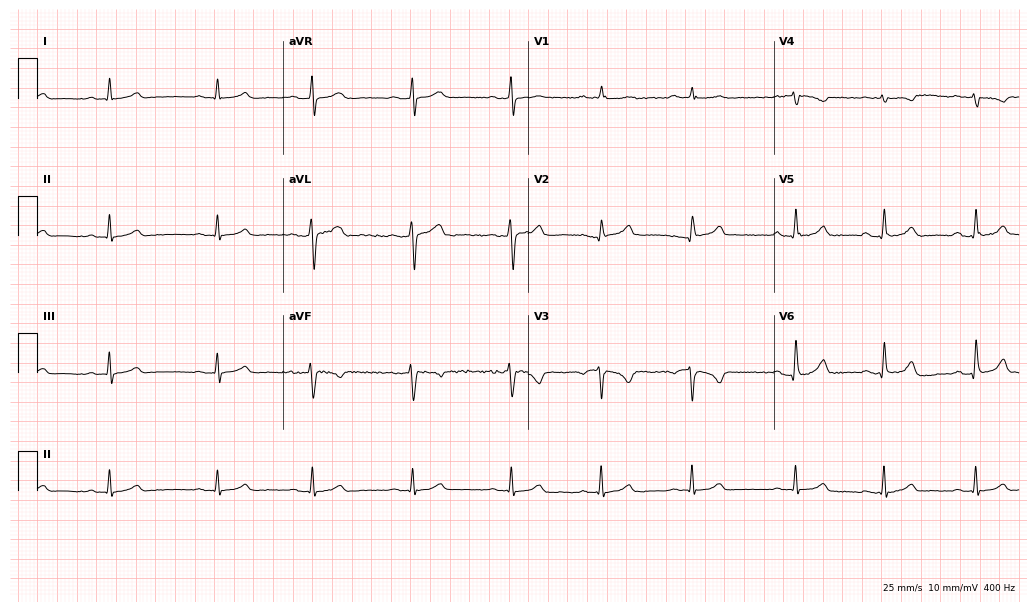
ECG (10-second recording at 400 Hz) — a 35-year-old female. Screened for six findings — first-degree AV block, right bundle branch block, left bundle branch block, sinus bradycardia, atrial fibrillation, sinus tachycardia — none is recorded. Other findings, if any, are not listed.